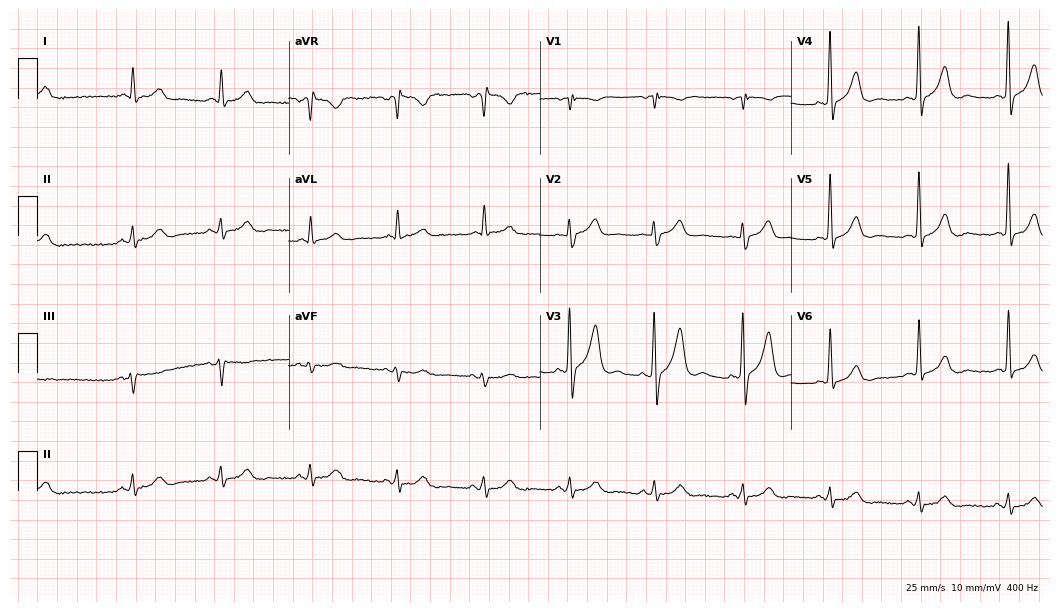
12-lead ECG from a man, 71 years old (10.2-second recording at 400 Hz). Recorded interpretation: within normal limits.